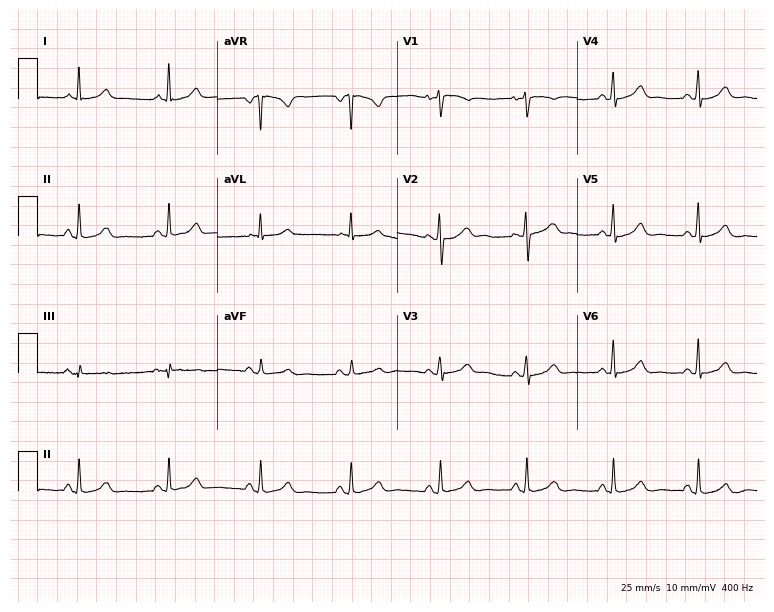
12-lead ECG from a female, 36 years old. Recorded interpretation: within normal limits.